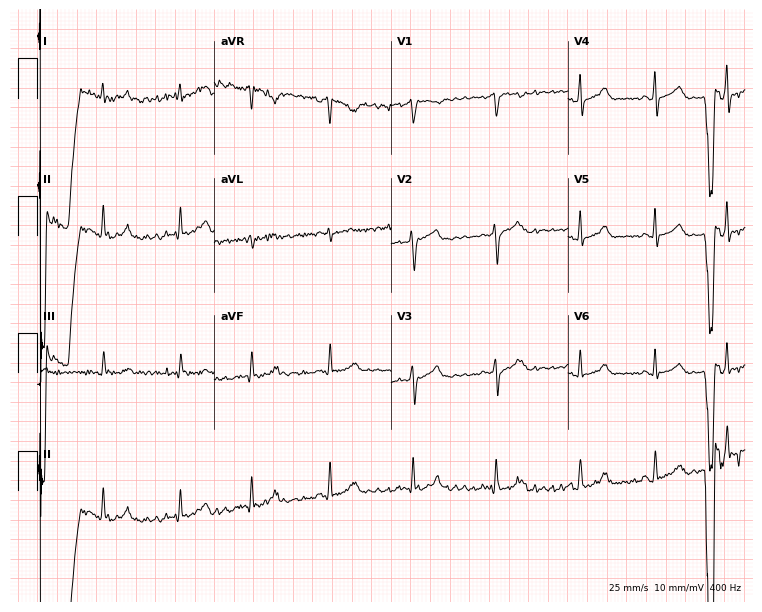
Resting 12-lead electrocardiogram. Patient: a 29-year-old female. None of these six findings is recorded: first-degree AV block, right bundle branch block, left bundle branch block, sinus bradycardia, atrial fibrillation, sinus tachycardia.